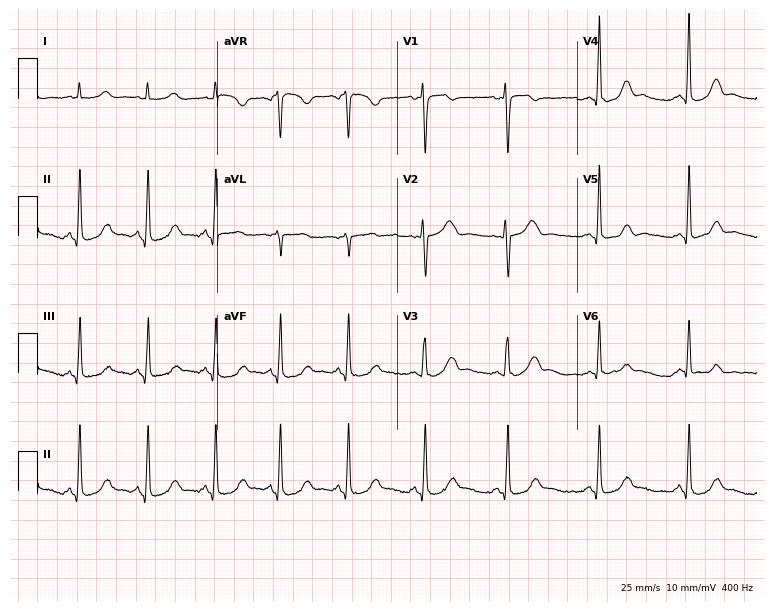
ECG (7.3-second recording at 400 Hz) — a 48-year-old woman. Screened for six findings — first-degree AV block, right bundle branch block, left bundle branch block, sinus bradycardia, atrial fibrillation, sinus tachycardia — none is recorded.